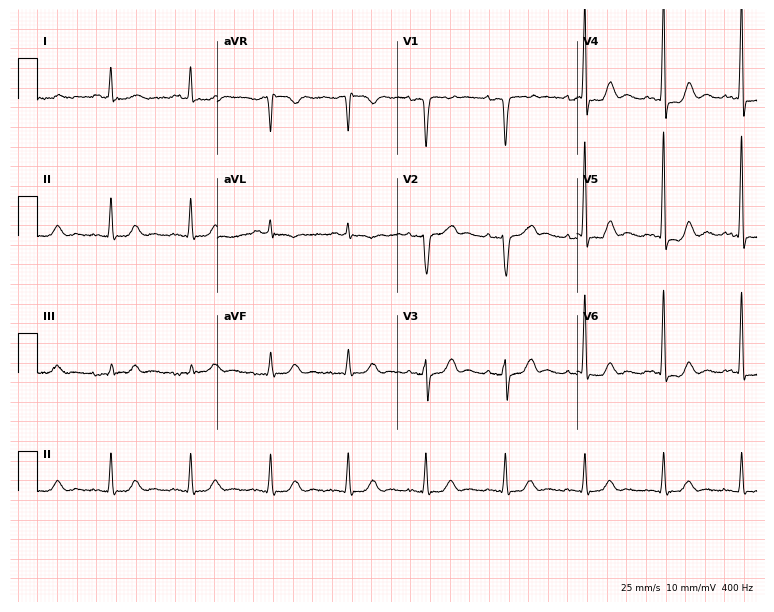
Standard 12-lead ECG recorded from a 66-year-old female. None of these six findings is recorded: first-degree AV block, right bundle branch block, left bundle branch block, sinus bradycardia, atrial fibrillation, sinus tachycardia. Findings outside these six are not listed.